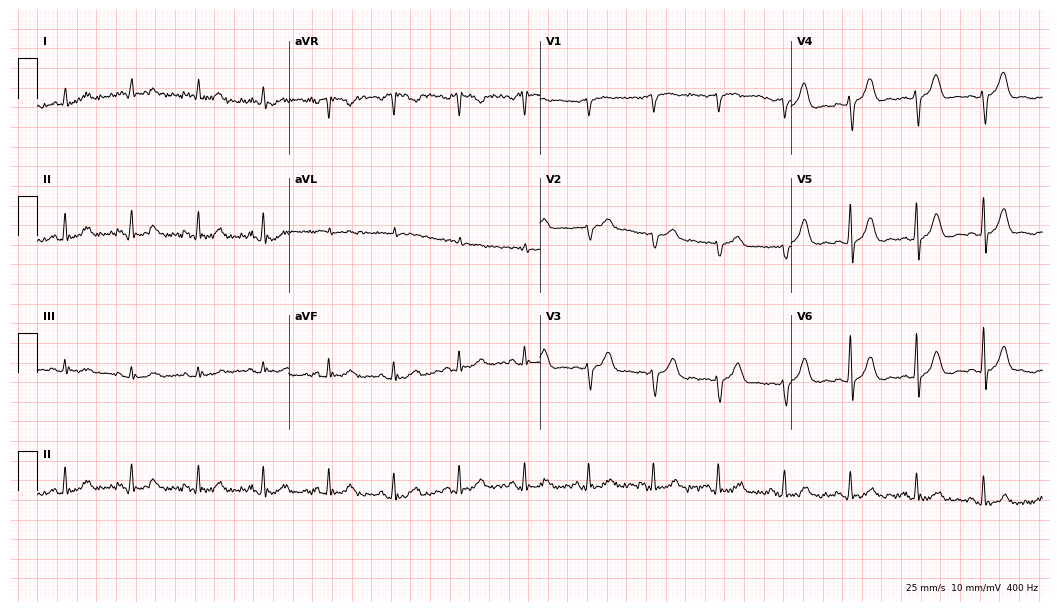
Resting 12-lead electrocardiogram. Patient: a man, 59 years old. None of these six findings is recorded: first-degree AV block, right bundle branch block, left bundle branch block, sinus bradycardia, atrial fibrillation, sinus tachycardia.